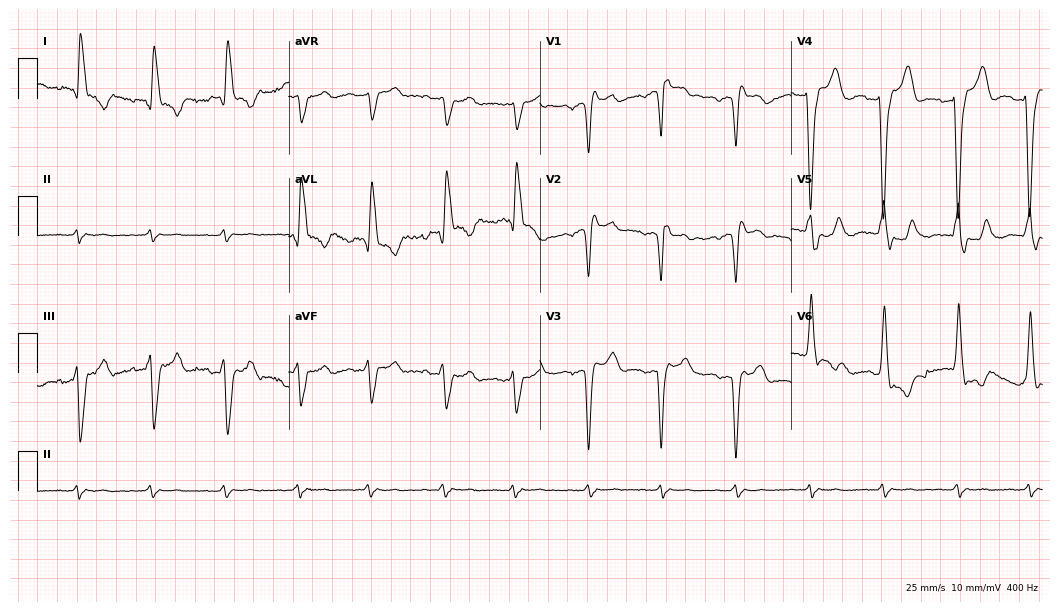
12-lead ECG from a woman, 83 years old. Shows right bundle branch block.